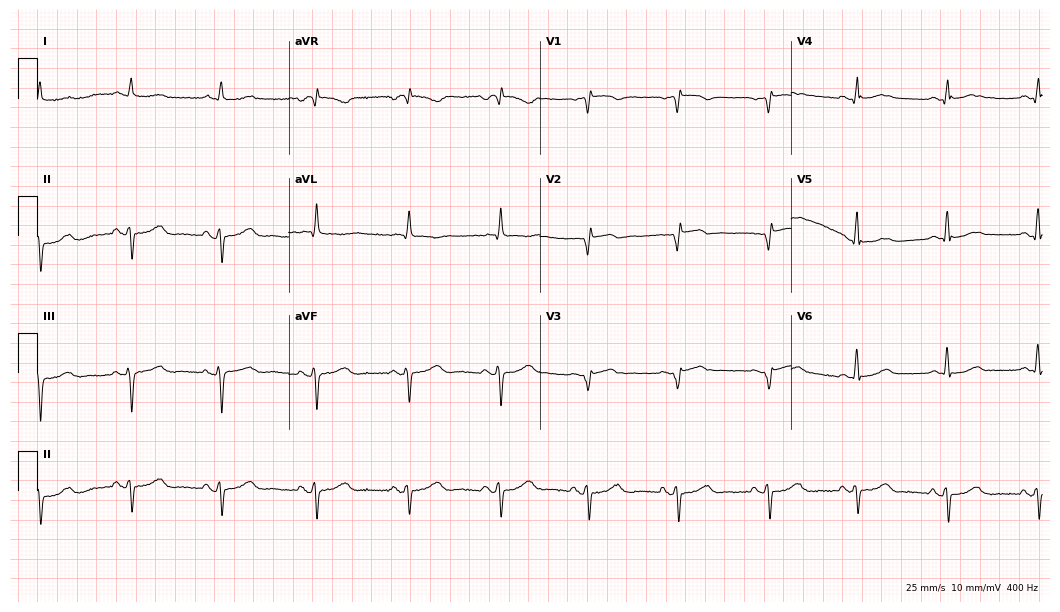
12-lead ECG from a 74-year-old woman. No first-degree AV block, right bundle branch block (RBBB), left bundle branch block (LBBB), sinus bradycardia, atrial fibrillation (AF) or sinus tachycardia recorded for this tracing. Only these six findings were labelled.